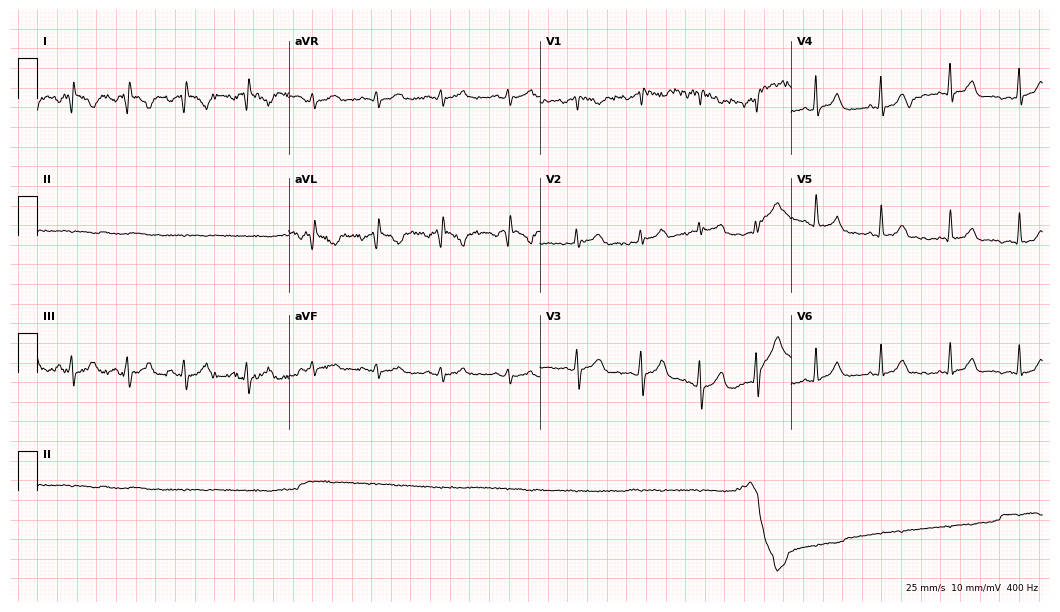
ECG (10.2-second recording at 400 Hz) — a 29-year-old woman. Screened for six findings — first-degree AV block, right bundle branch block, left bundle branch block, sinus bradycardia, atrial fibrillation, sinus tachycardia — none is recorded. Other findings, if any, are not listed.